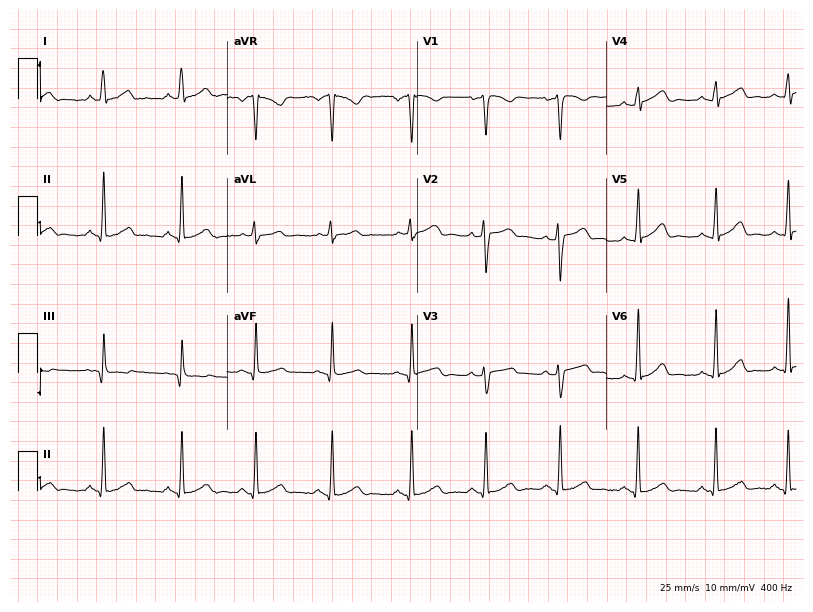
Resting 12-lead electrocardiogram (7.7-second recording at 400 Hz). Patient: a woman, 35 years old. None of these six findings is recorded: first-degree AV block, right bundle branch block, left bundle branch block, sinus bradycardia, atrial fibrillation, sinus tachycardia. Findings outside these six are not listed.